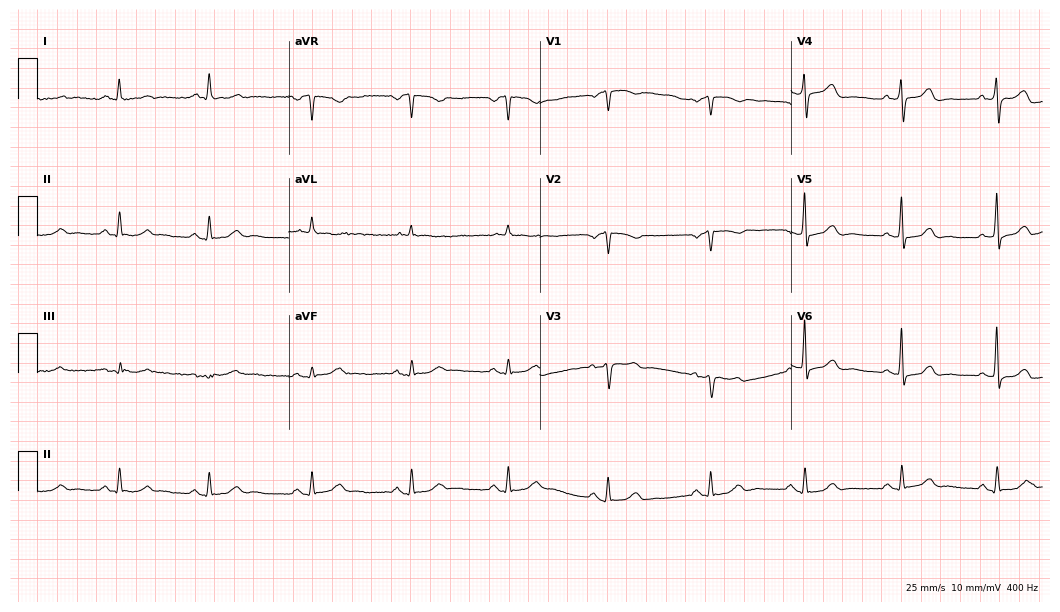
12-lead ECG from a male patient, 53 years old. Screened for six findings — first-degree AV block, right bundle branch block, left bundle branch block, sinus bradycardia, atrial fibrillation, sinus tachycardia — none is recorded. Findings outside these six are not listed.